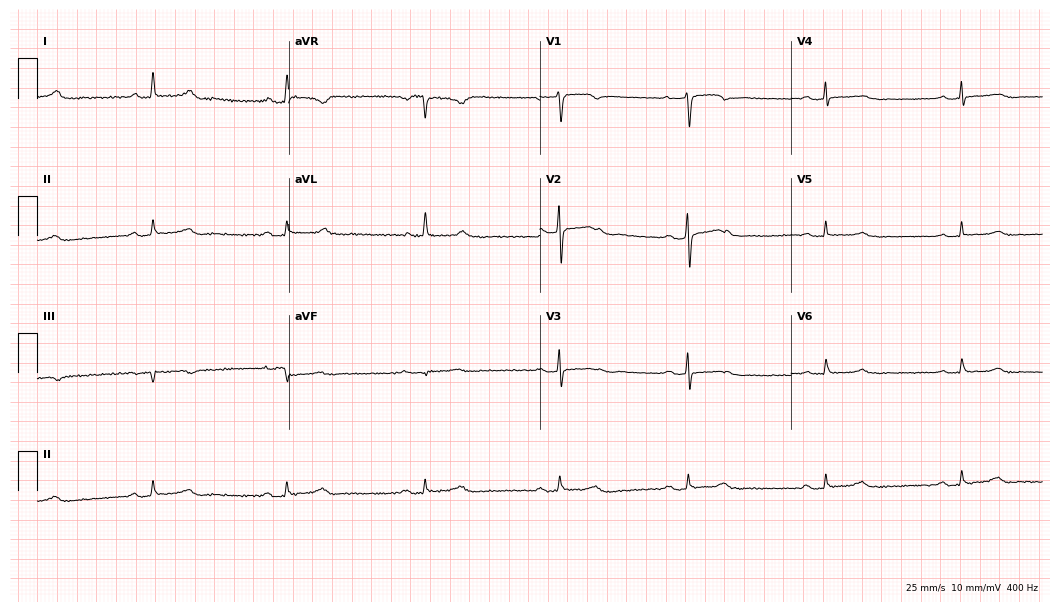
Standard 12-lead ECG recorded from a female, 71 years old. The tracing shows sinus bradycardia (a sinus rate of 50 beats per minute or less).